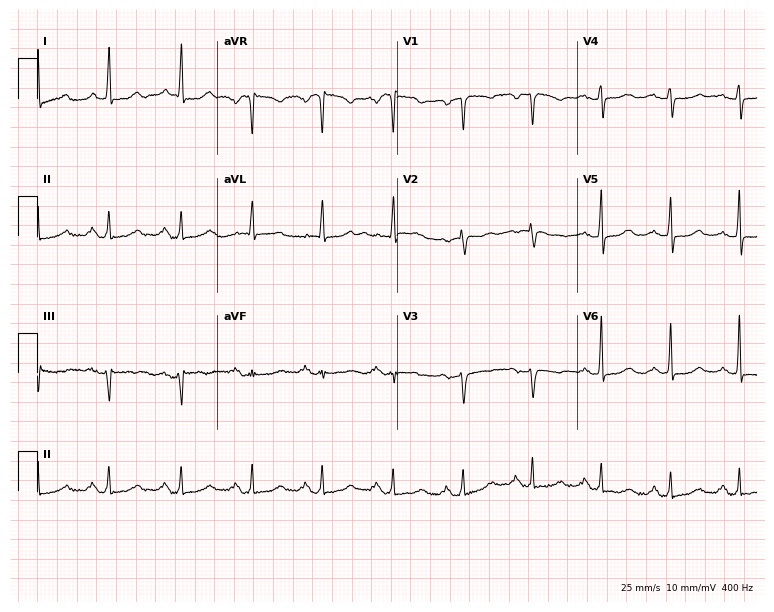
Resting 12-lead electrocardiogram (7.3-second recording at 400 Hz). Patient: a 63-year-old female. None of these six findings is recorded: first-degree AV block, right bundle branch block, left bundle branch block, sinus bradycardia, atrial fibrillation, sinus tachycardia. Other findings, if any, are not listed.